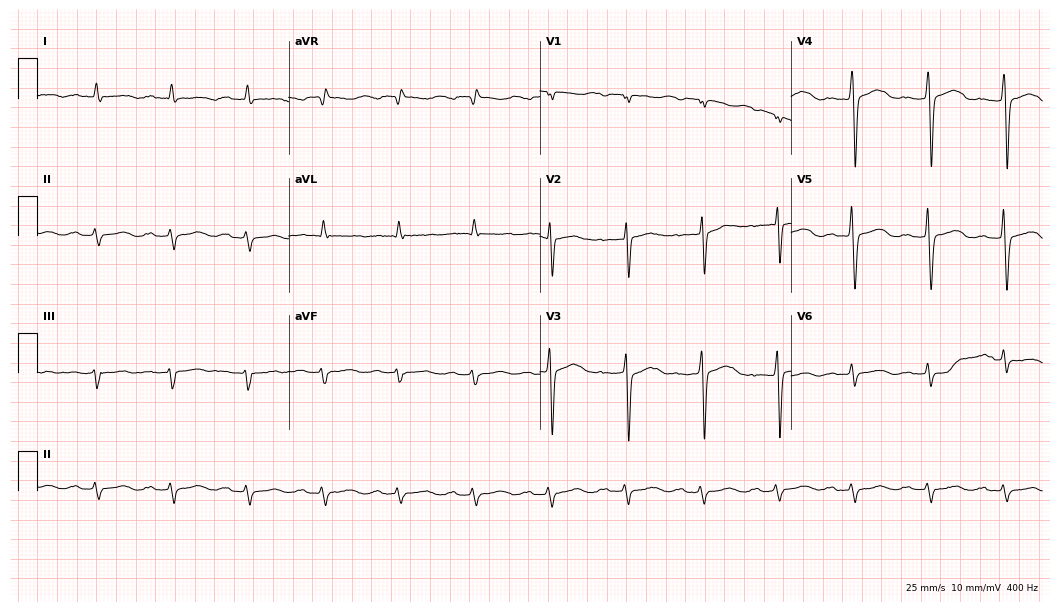
ECG — a man, 80 years old. Findings include first-degree AV block.